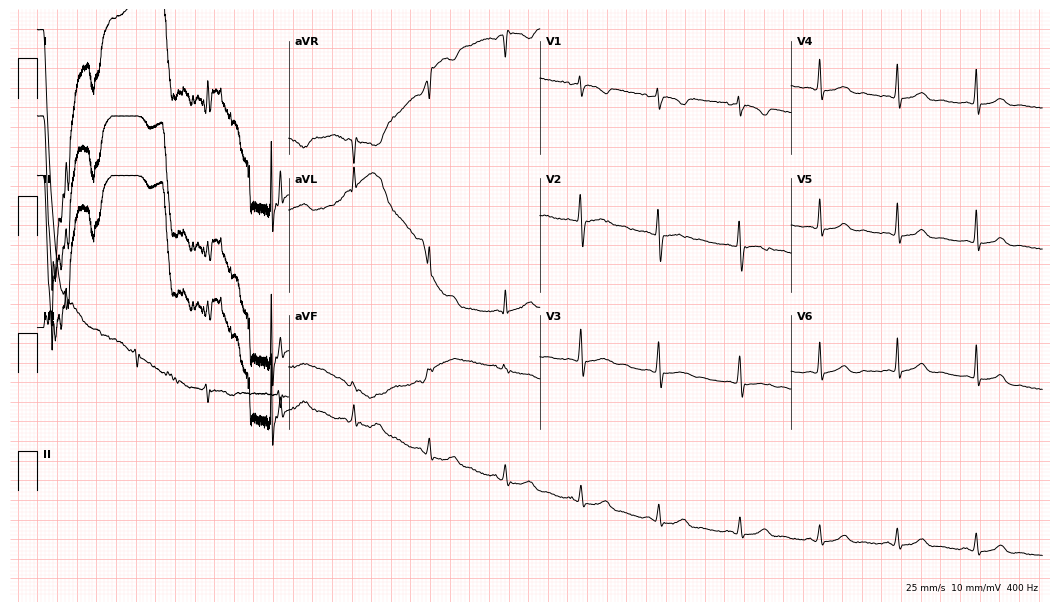
Resting 12-lead electrocardiogram (10.2-second recording at 400 Hz). Patient: a woman, 26 years old. None of these six findings is recorded: first-degree AV block, right bundle branch block, left bundle branch block, sinus bradycardia, atrial fibrillation, sinus tachycardia. Other findings, if any, are not listed.